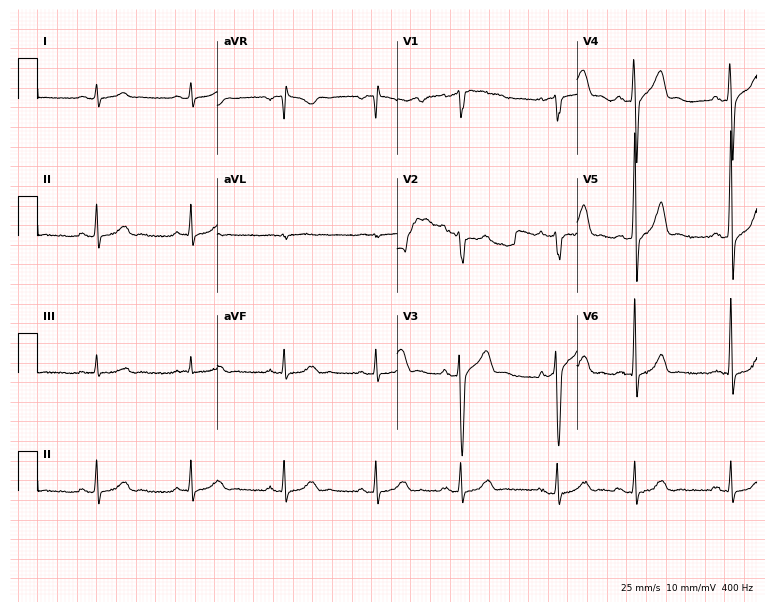
ECG — a 63-year-old male patient. Labelled as a normal ECG.